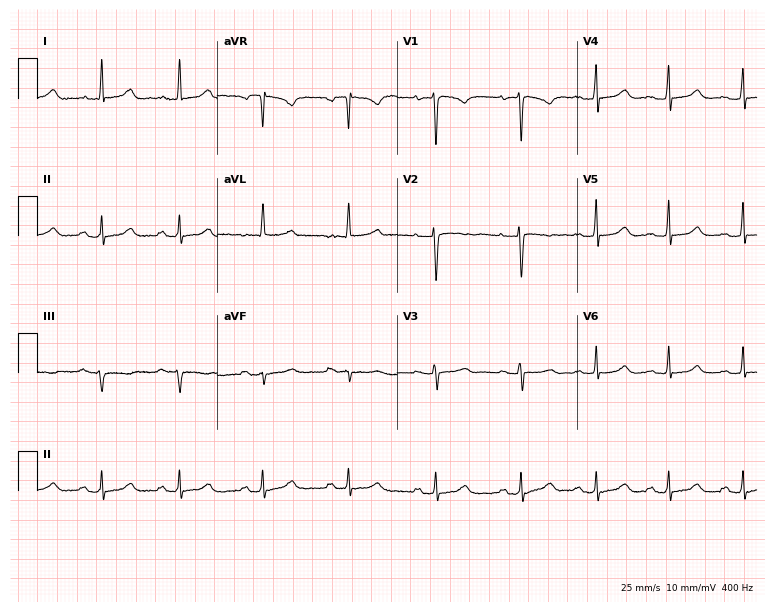
Electrocardiogram, a female, 33 years old. Overall reading on record: normal ECG.